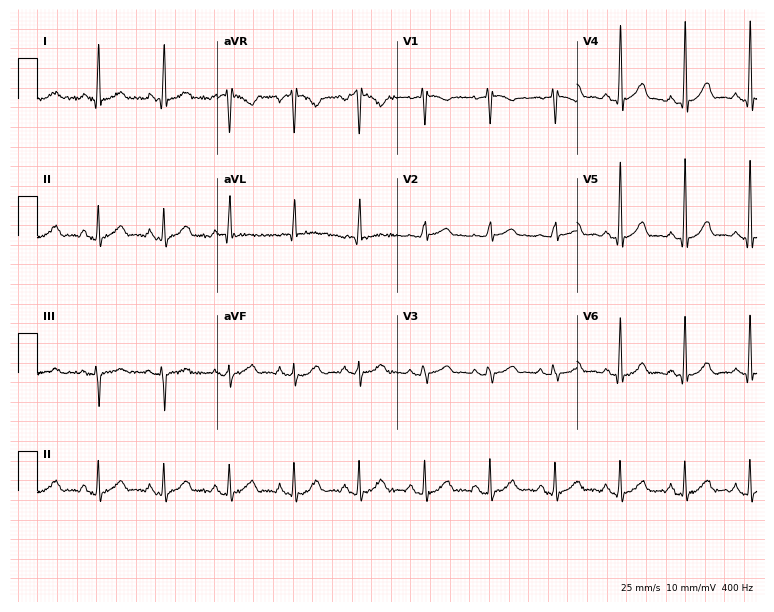
Electrocardiogram (7.3-second recording at 400 Hz), a female patient, 80 years old. Overall reading on record: normal ECG.